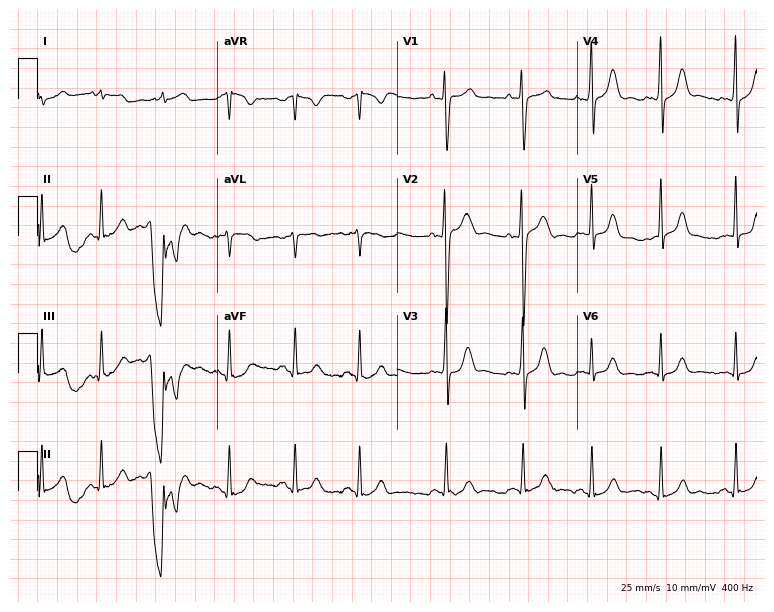
12-lead ECG from a man, 17 years old. Recorded interpretation: within normal limits.